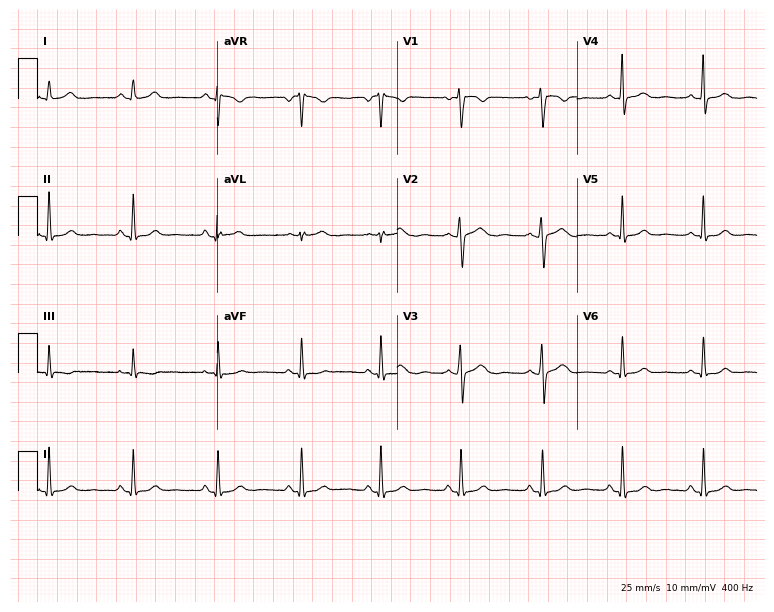
Electrocardiogram, a 19-year-old female patient. Overall reading on record: normal ECG.